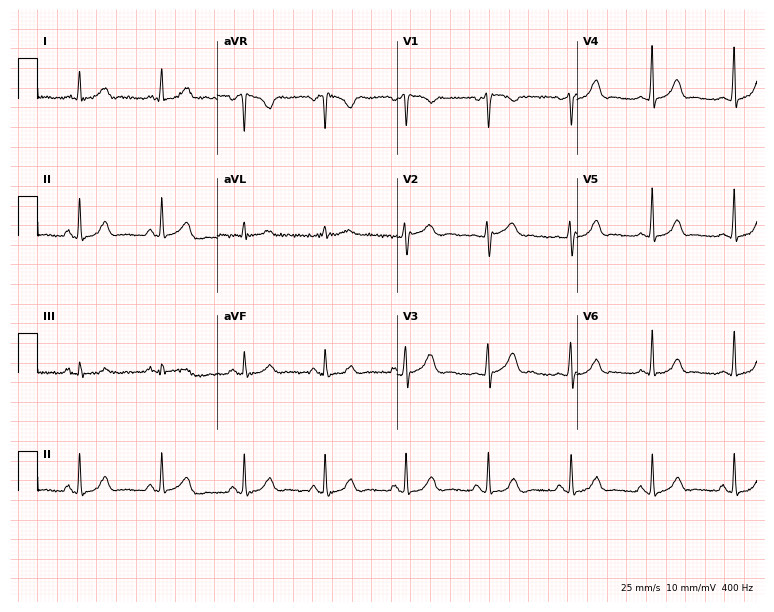
Resting 12-lead electrocardiogram. Patient: a female, 52 years old. Read as a normal ECG.